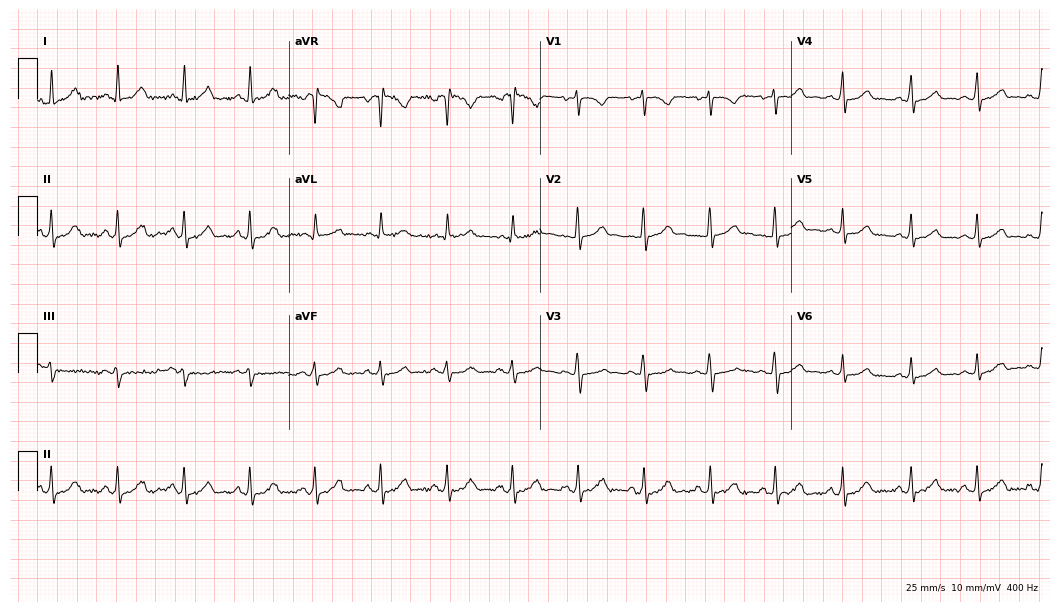
12-lead ECG from a 30-year-old woman. Labelled as a normal ECG.